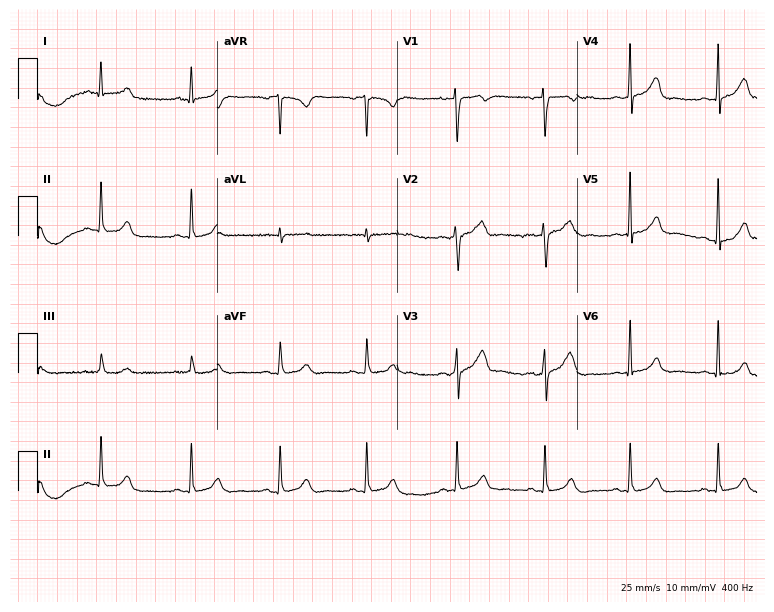
12-lead ECG from a 36-year-old woman (7.3-second recording at 400 Hz). Recorded interpretation: within normal limits.